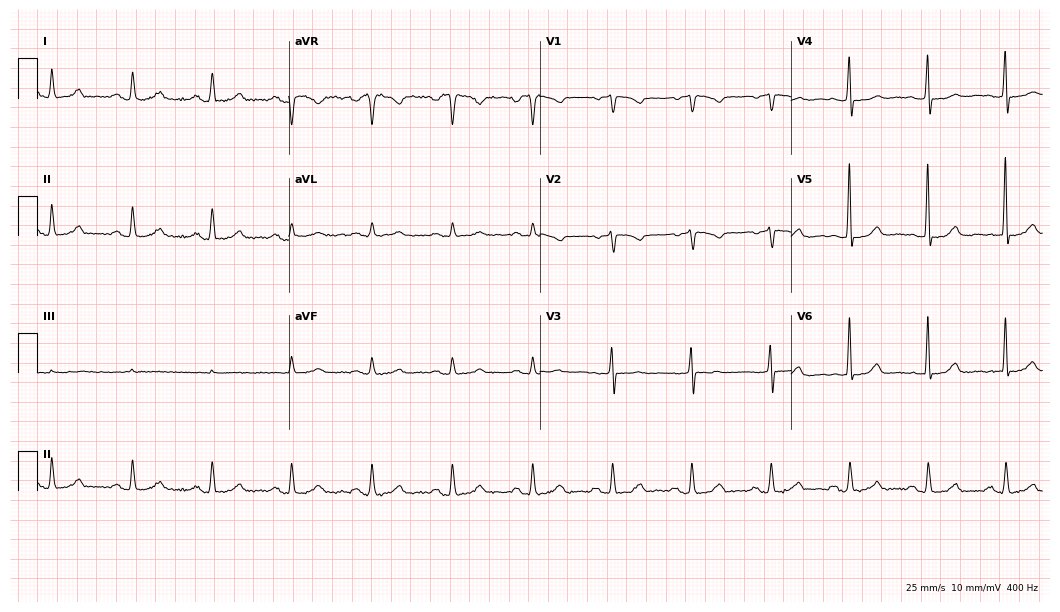
Standard 12-lead ECG recorded from a 74-year-old female. None of these six findings is recorded: first-degree AV block, right bundle branch block, left bundle branch block, sinus bradycardia, atrial fibrillation, sinus tachycardia.